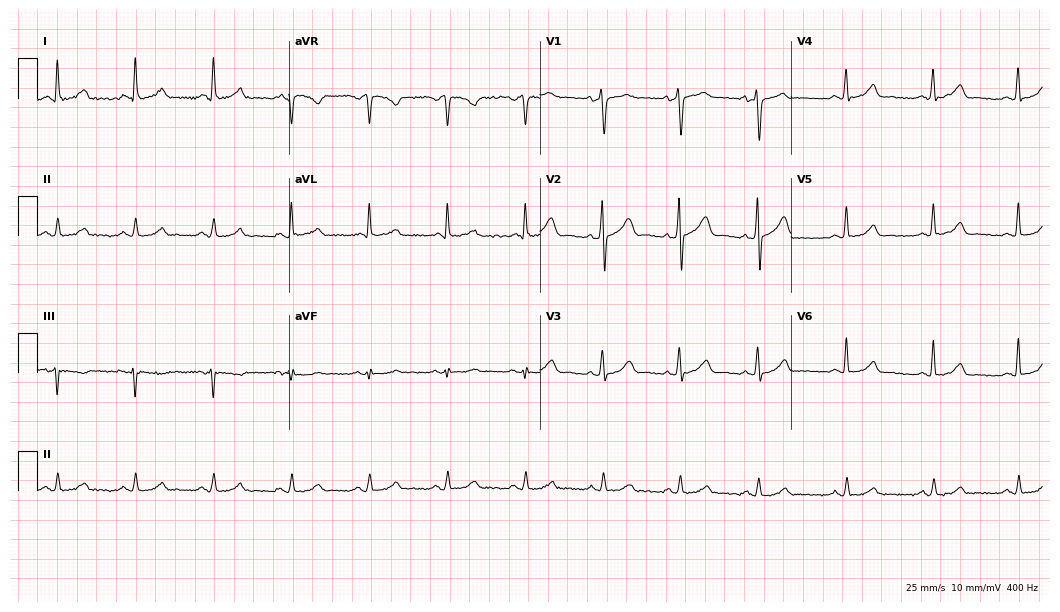
Electrocardiogram, a 64-year-old male patient. Overall reading on record: normal ECG.